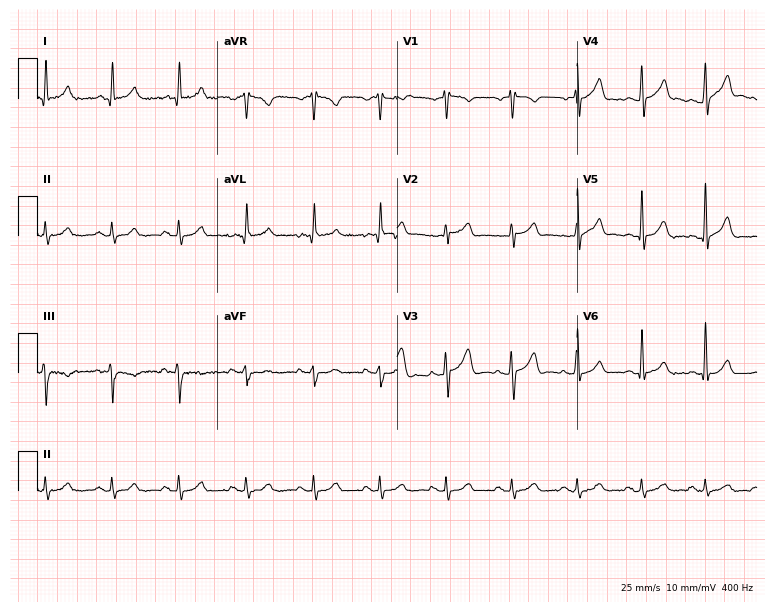
12-lead ECG from a male patient, 67 years old. Recorded interpretation: within normal limits.